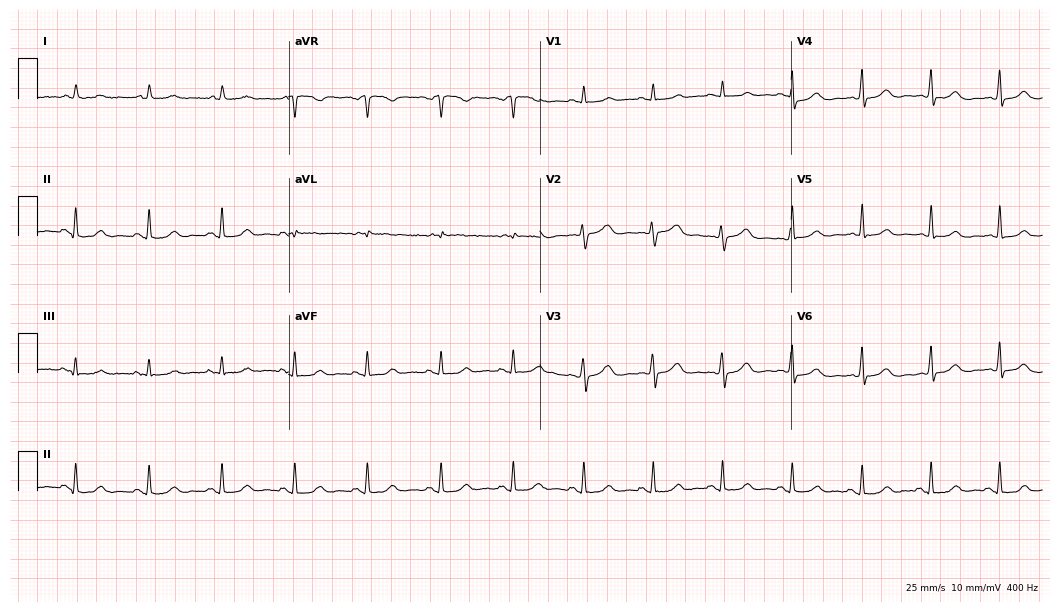
ECG (10.2-second recording at 400 Hz) — a female, 51 years old. Labelled as a normal ECG.